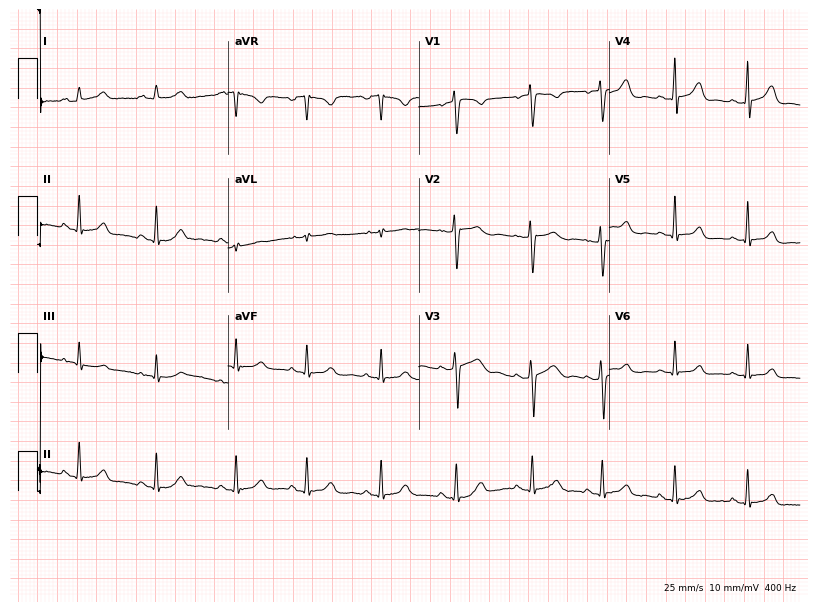
ECG — a 23-year-old female. Labelled as a normal ECG.